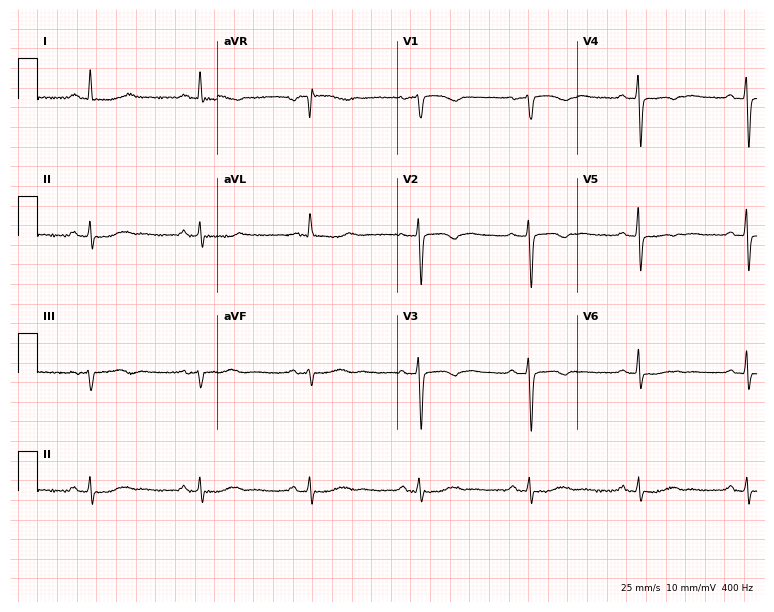
Resting 12-lead electrocardiogram (7.3-second recording at 400 Hz). Patient: a 57-year-old female. None of these six findings is recorded: first-degree AV block, right bundle branch block, left bundle branch block, sinus bradycardia, atrial fibrillation, sinus tachycardia. Findings outside these six are not listed.